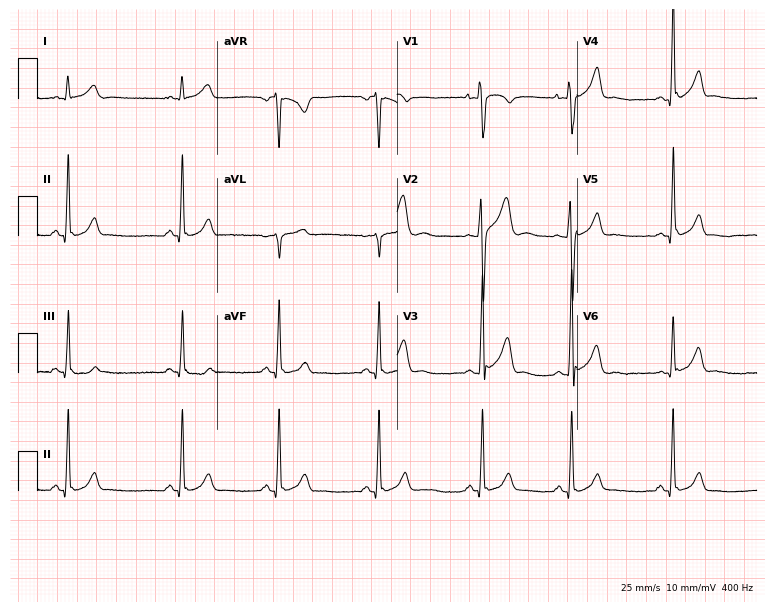
12-lead ECG (7.3-second recording at 400 Hz) from a 17-year-old man. Labelled as a normal ECG.